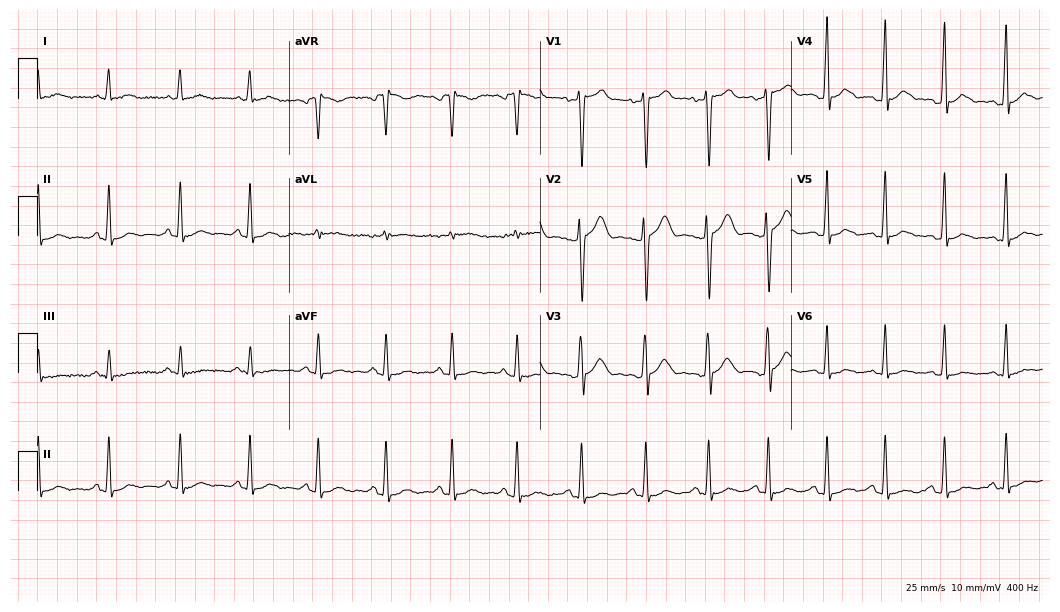
ECG (10.2-second recording at 400 Hz) — a male patient, 25 years old. Labelled as a normal ECG.